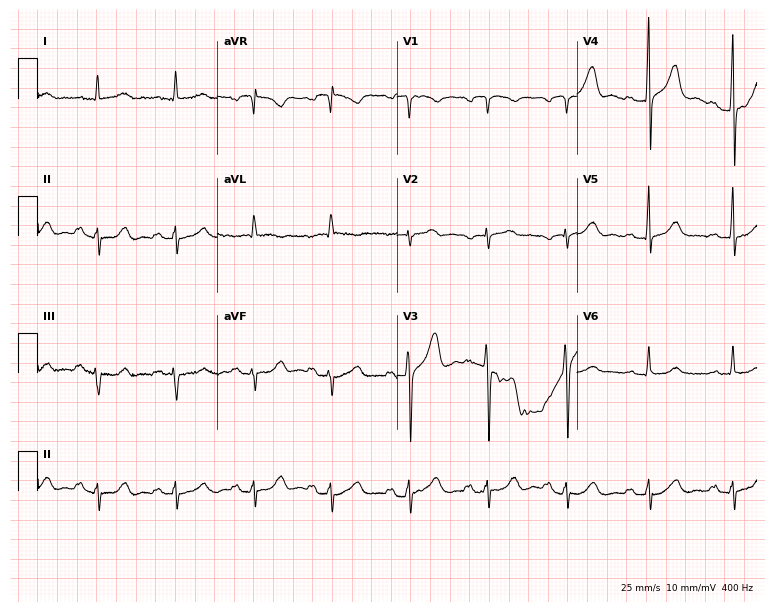
Standard 12-lead ECG recorded from a 58-year-old woman. None of these six findings is recorded: first-degree AV block, right bundle branch block, left bundle branch block, sinus bradycardia, atrial fibrillation, sinus tachycardia.